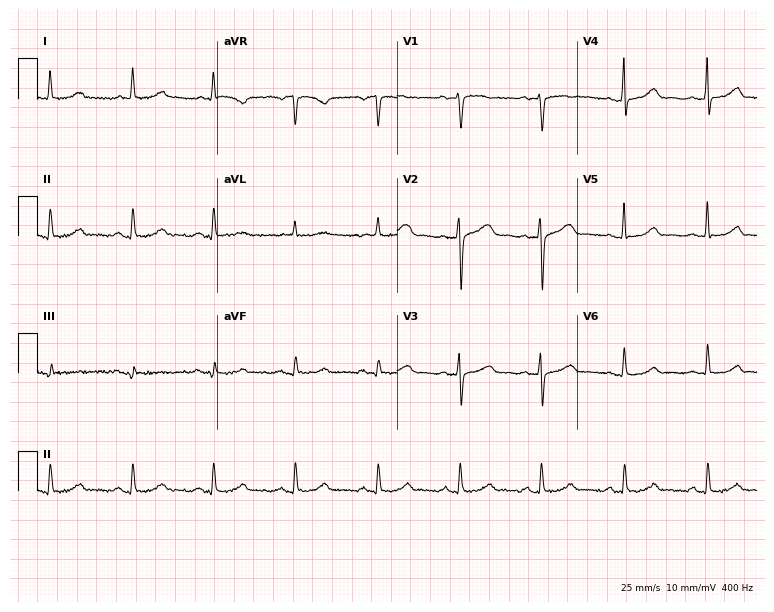
Resting 12-lead electrocardiogram (7.3-second recording at 400 Hz). Patient: a woman, 61 years old. Read as a normal ECG.